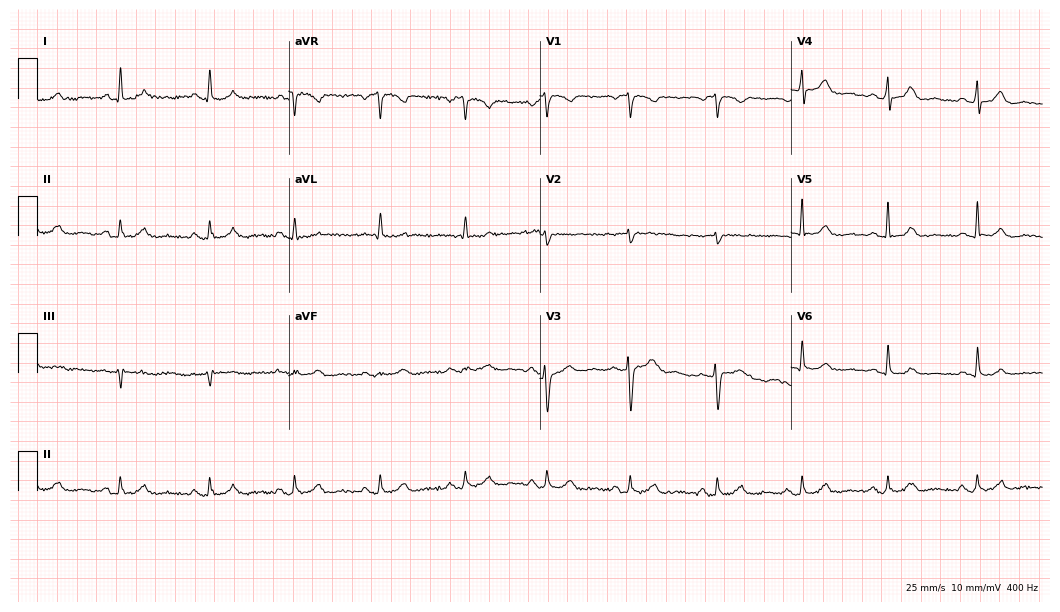
12-lead ECG from a 55-year-old female (10.2-second recording at 400 Hz). Recorded interpretation: within normal limits.